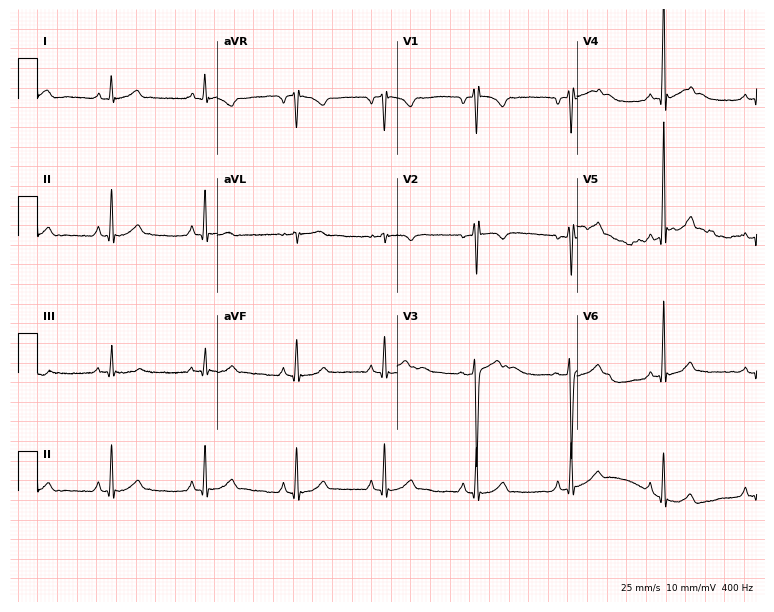
12-lead ECG from a male patient, 18 years old. No first-degree AV block, right bundle branch block, left bundle branch block, sinus bradycardia, atrial fibrillation or sinus tachycardia recorded for this tracing.